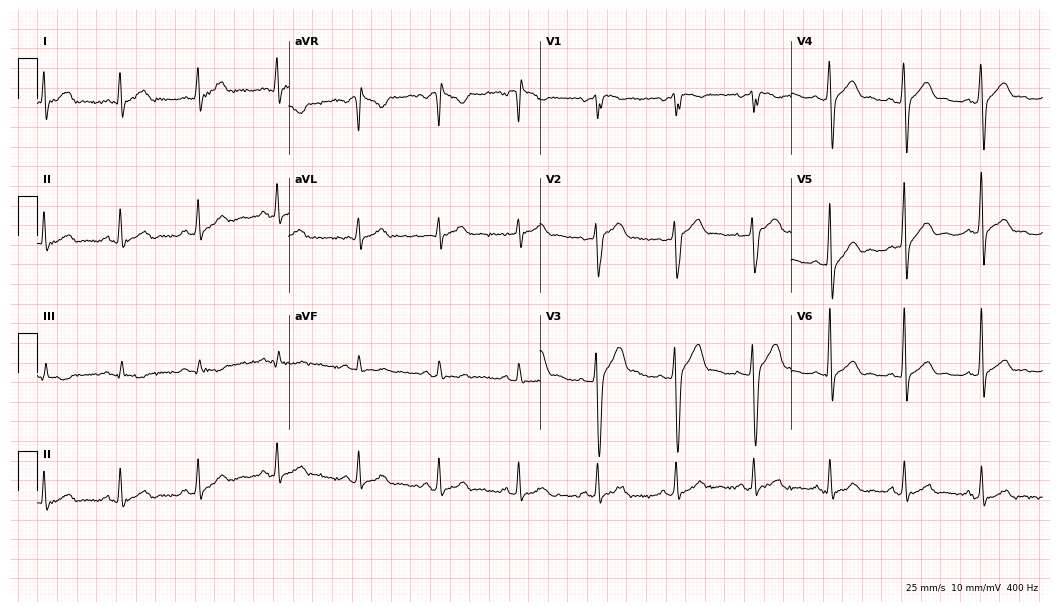
12-lead ECG (10.2-second recording at 400 Hz) from a 37-year-old male. Labelled as a normal ECG.